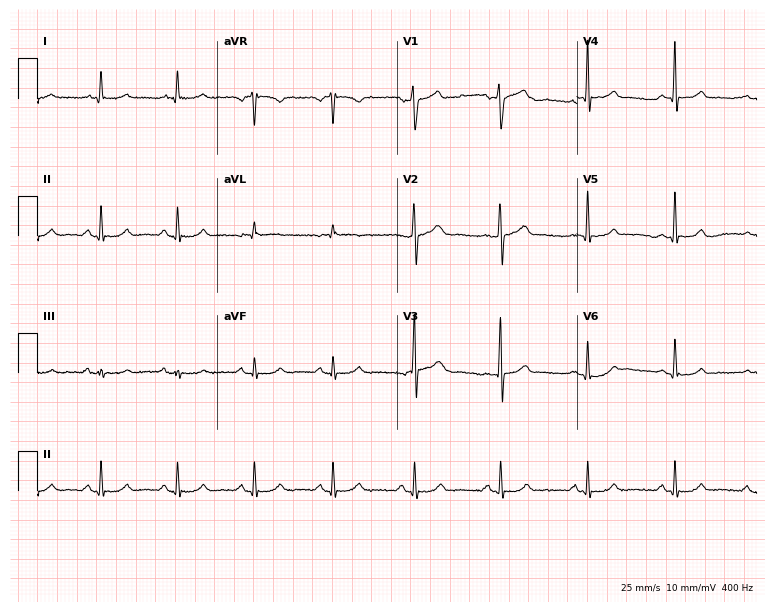
12-lead ECG from a man, 69 years old (7.3-second recording at 400 Hz). Recorded interpretation: within normal limits.